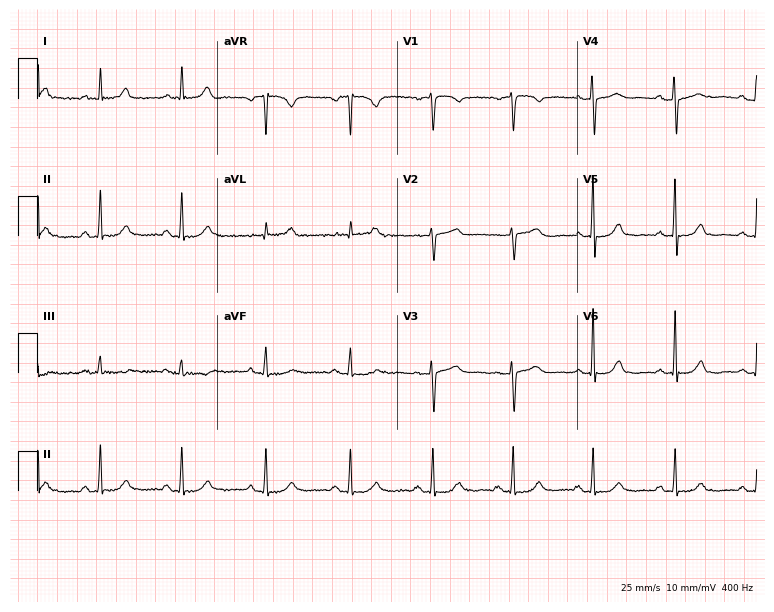
Electrocardiogram, a female, 57 years old. Of the six screened findings (first-degree AV block, right bundle branch block, left bundle branch block, sinus bradycardia, atrial fibrillation, sinus tachycardia), none is recorded.